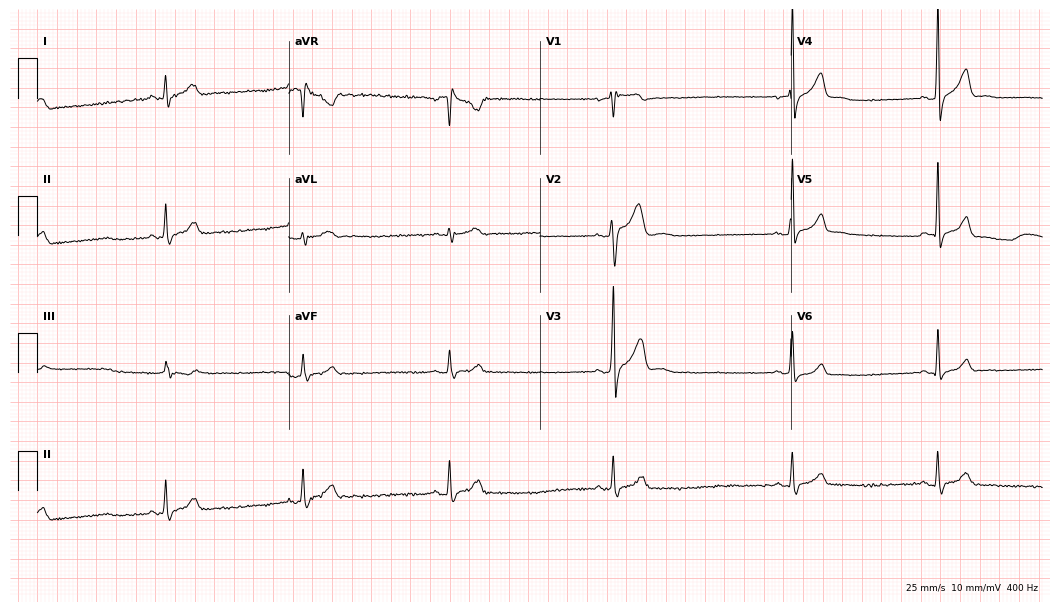
ECG — a 35-year-old male. Findings include sinus bradycardia (a sinus rate of 50 beats per minute or less).